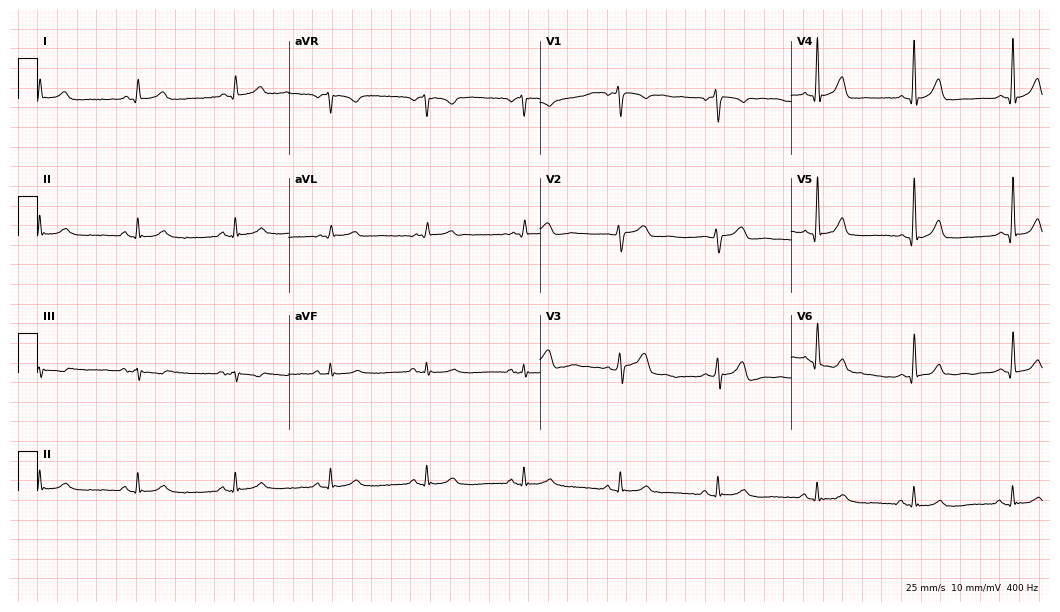
Electrocardiogram, a man, 76 years old. Overall reading on record: normal ECG.